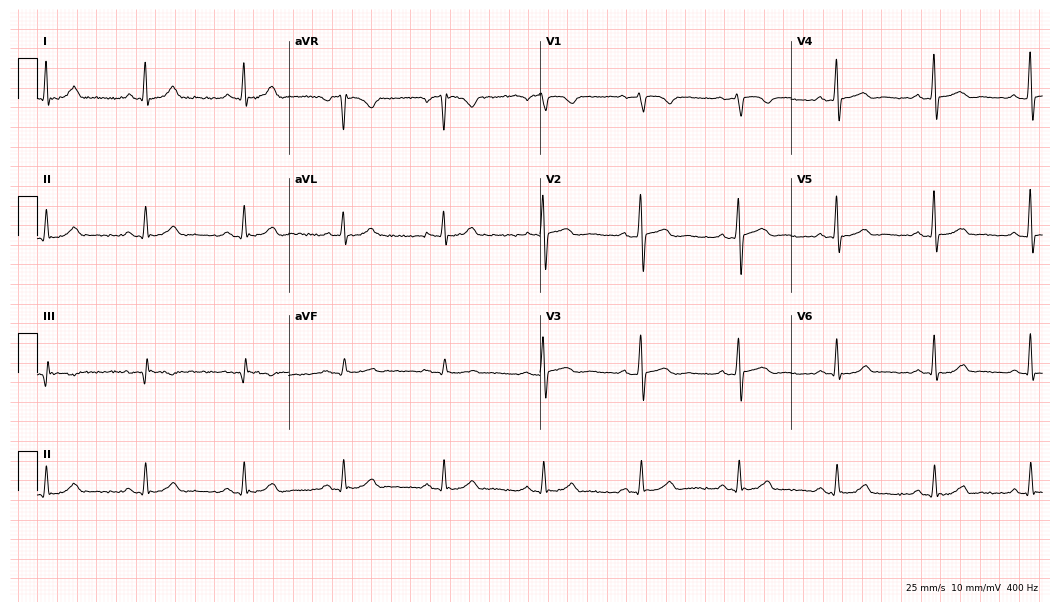
12-lead ECG from a 45-year-old male patient. Recorded interpretation: within normal limits.